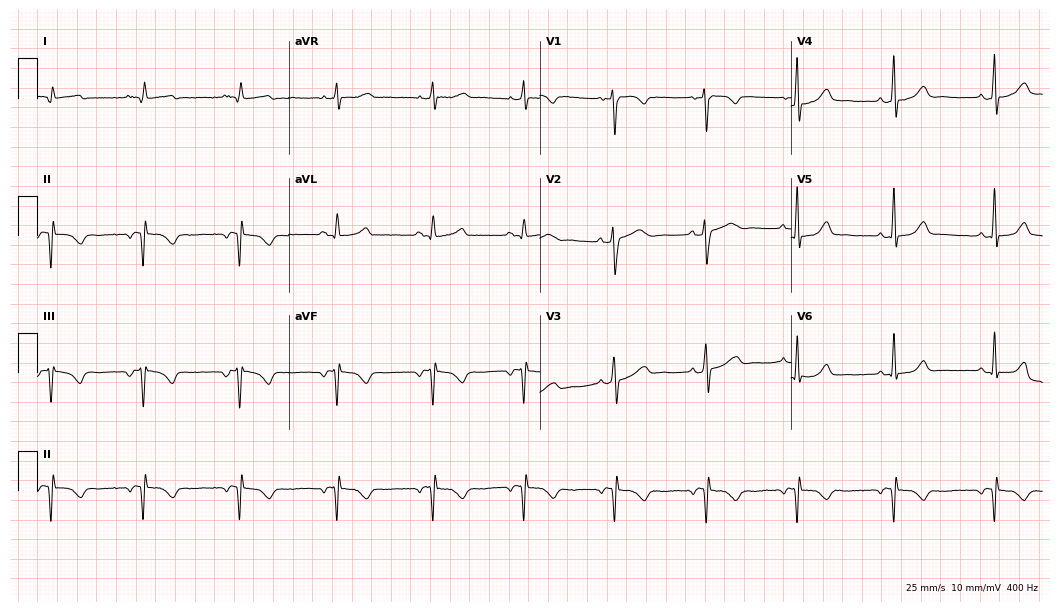
Resting 12-lead electrocardiogram (10.2-second recording at 400 Hz). Patient: a woman, 26 years old. None of these six findings is recorded: first-degree AV block, right bundle branch block, left bundle branch block, sinus bradycardia, atrial fibrillation, sinus tachycardia.